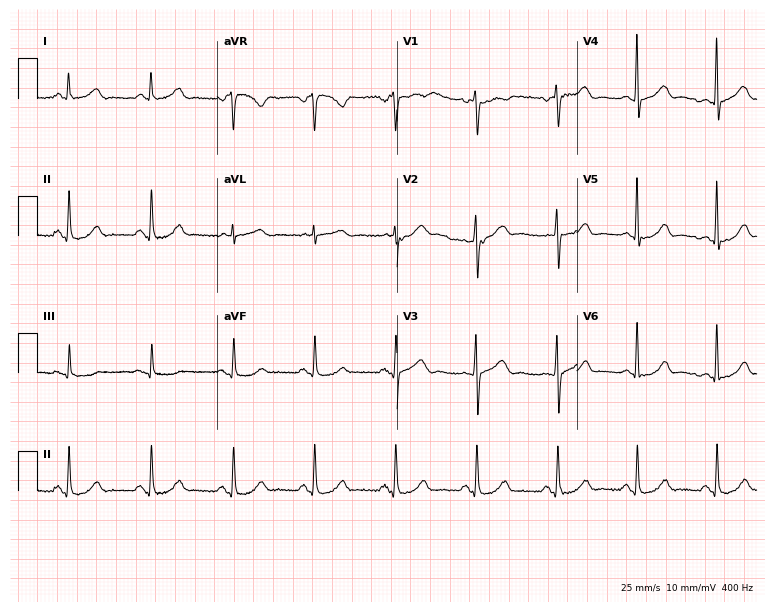
Resting 12-lead electrocardiogram. Patient: a 55-year-old female. Read as a normal ECG.